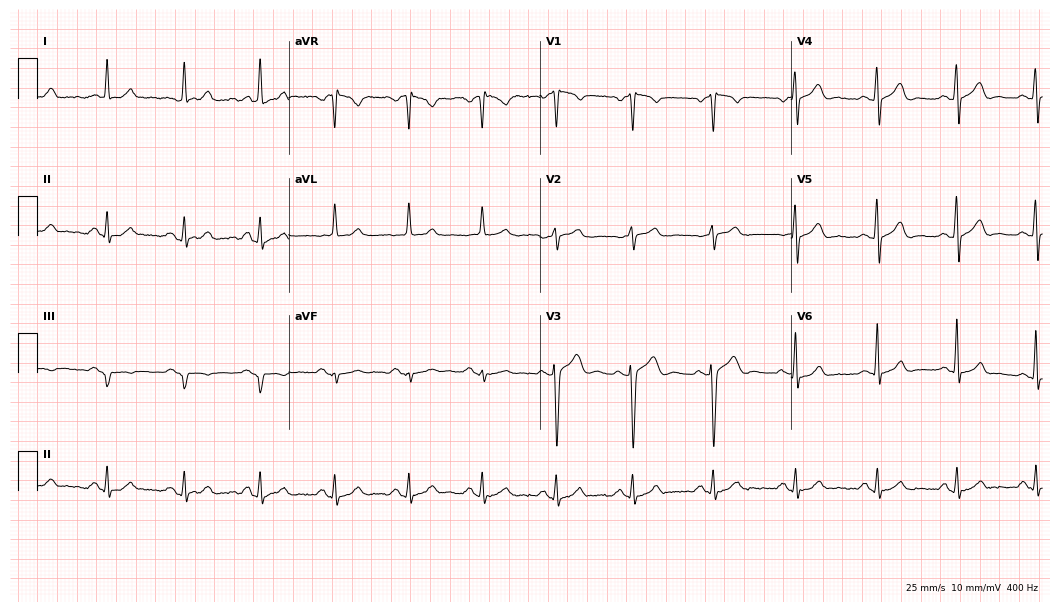
ECG (10.2-second recording at 400 Hz) — a male, 46 years old. Labelled as a normal ECG.